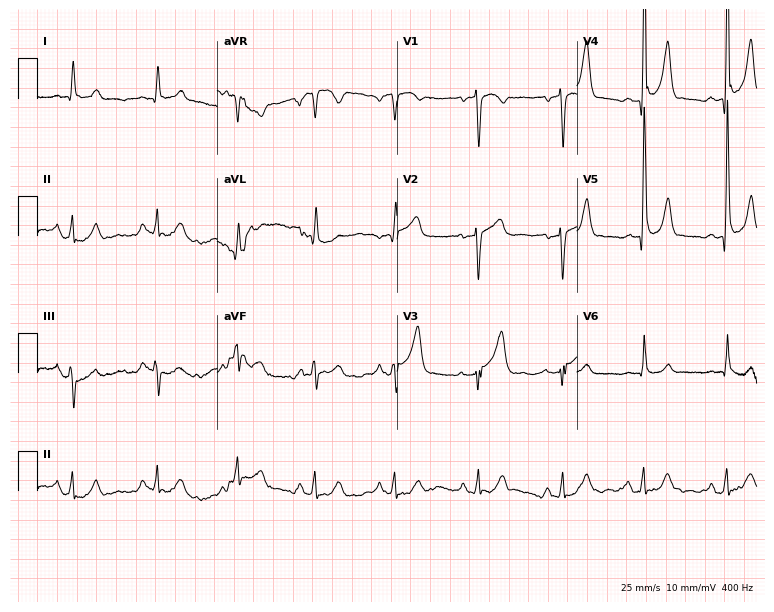
12-lead ECG from a male, 84 years old. Screened for six findings — first-degree AV block, right bundle branch block, left bundle branch block, sinus bradycardia, atrial fibrillation, sinus tachycardia — none is recorded. Findings outside these six are not listed.